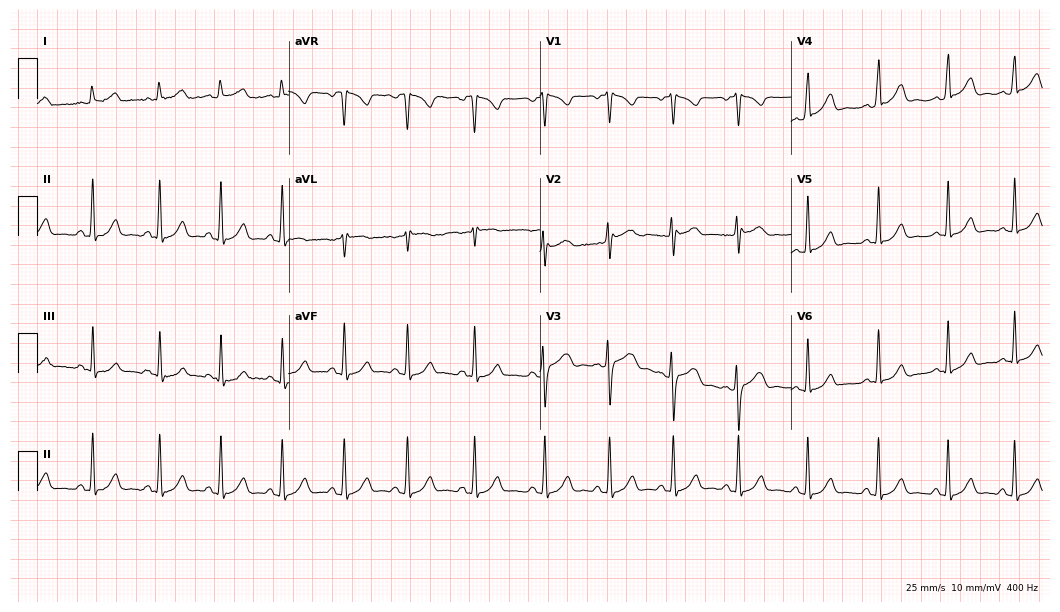
Resting 12-lead electrocardiogram. Patient: a woman, 25 years old. Read as a normal ECG.